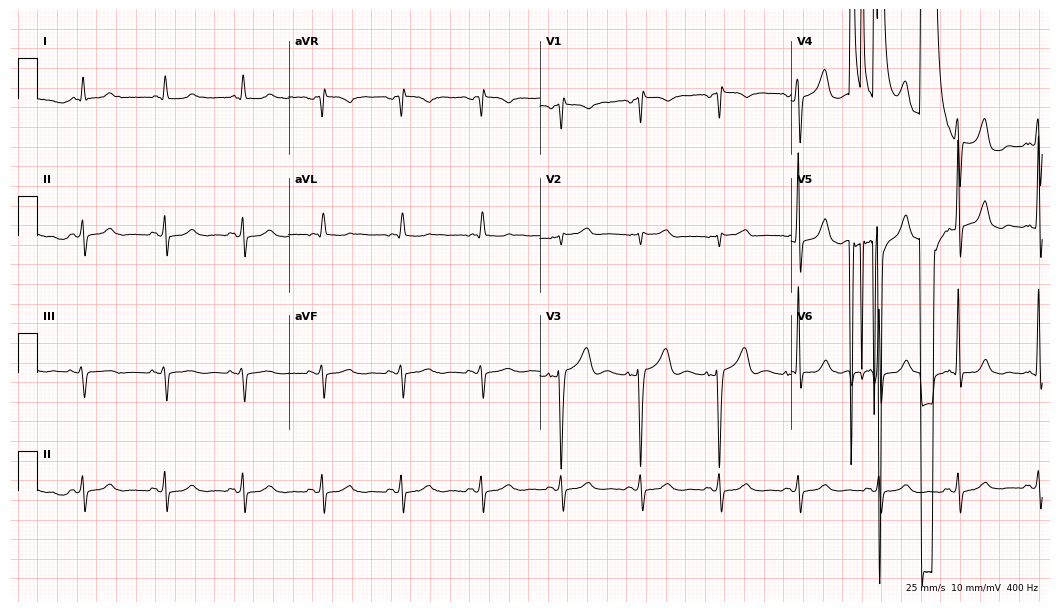
12-lead ECG from a female patient, 77 years old. Screened for six findings — first-degree AV block, right bundle branch block, left bundle branch block, sinus bradycardia, atrial fibrillation, sinus tachycardia — none is recorded.